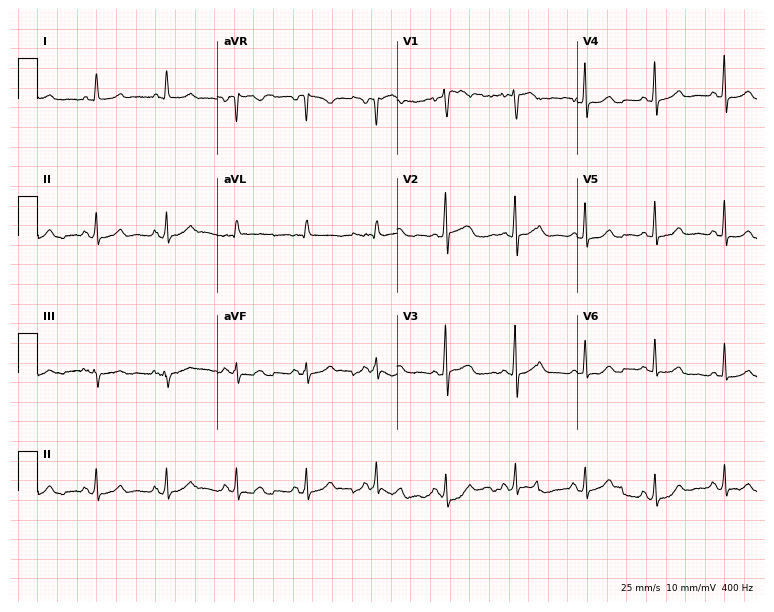
12-lead ECG from a 76-year-old female patient. Recorded interpretation: within normal limits.